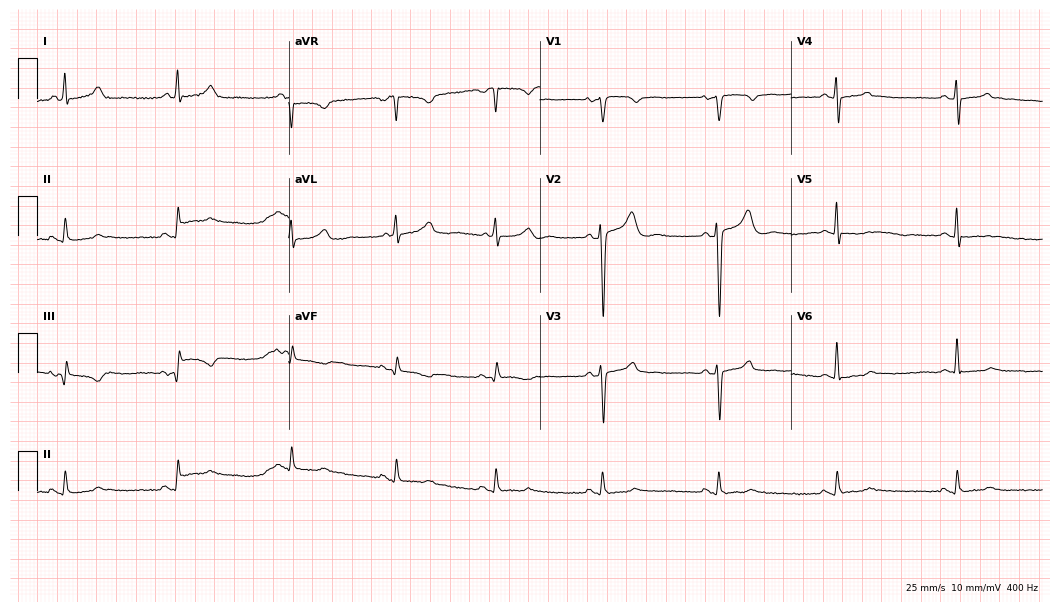
Resting 12-lead electrocardiogram. Patient: a 58-year-old man. The tracing shows sinus bradycardia (a sinus rate of 50 beats per minute or less).